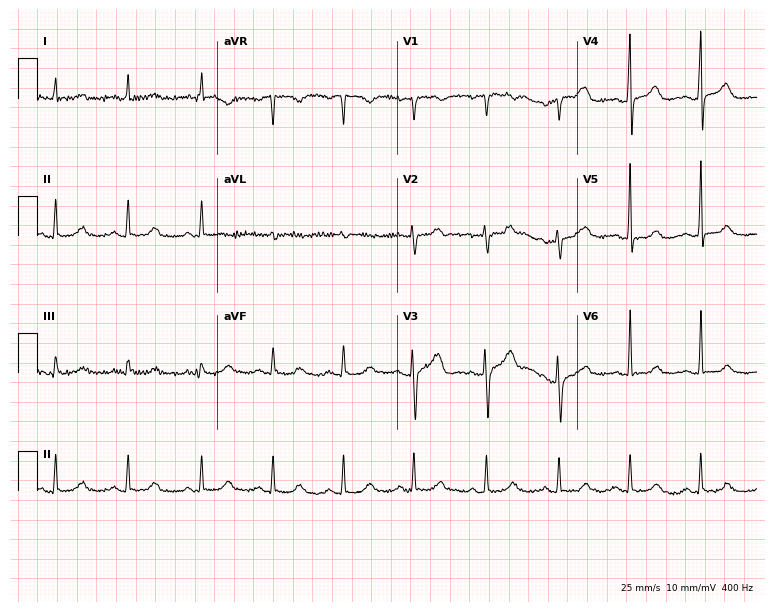
Standard 12-lead ECG recorded from a woman, 66 years old. None of these six findings is recorded: first-degree AV block, right bundle branch block (RBBB), left bundle branch block (LBBB), sinus bradycardia, atrial fibrillation (AF), sinus tachycardia. Other findings, if any, are not listed.